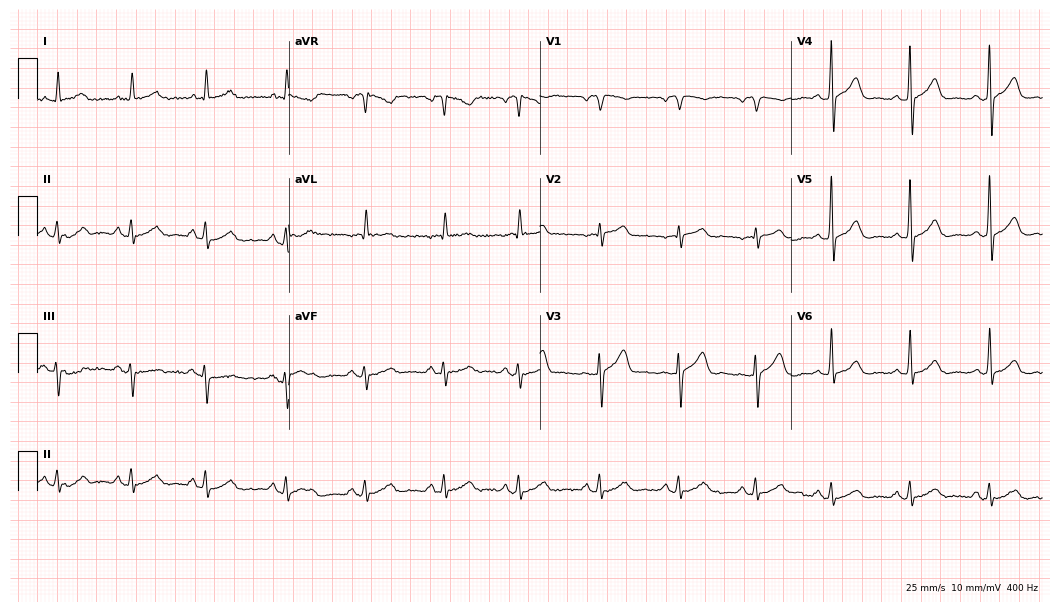
Electrocardiogram, a man, 68 years old. Overall reading on record: normal ECG.